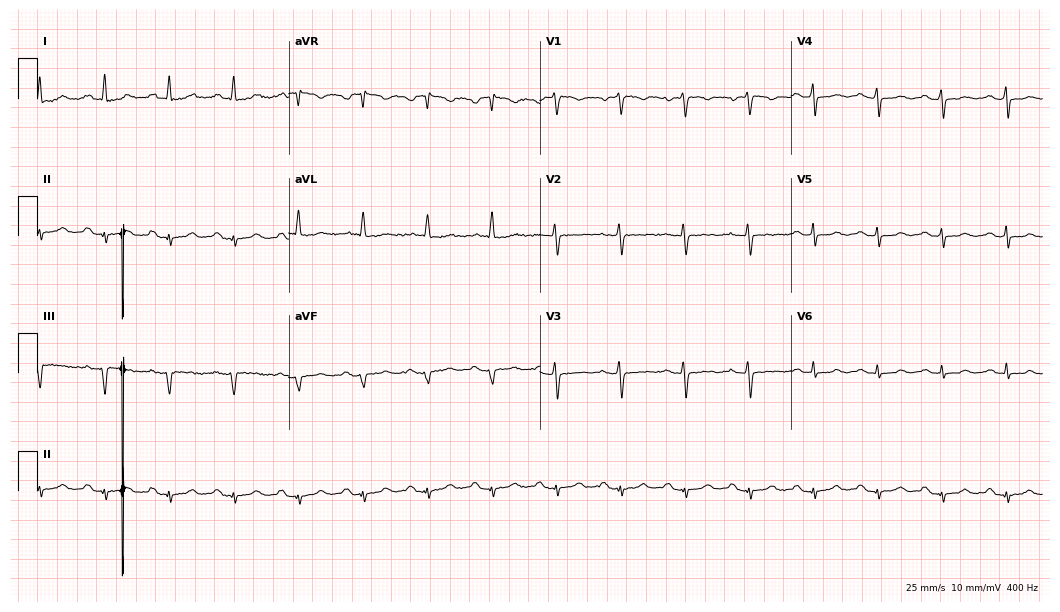
Electrocardiogram (10.2-second recording at 400 Hz), a female patient, 57 years old. Overall reading on record: normal ECG.